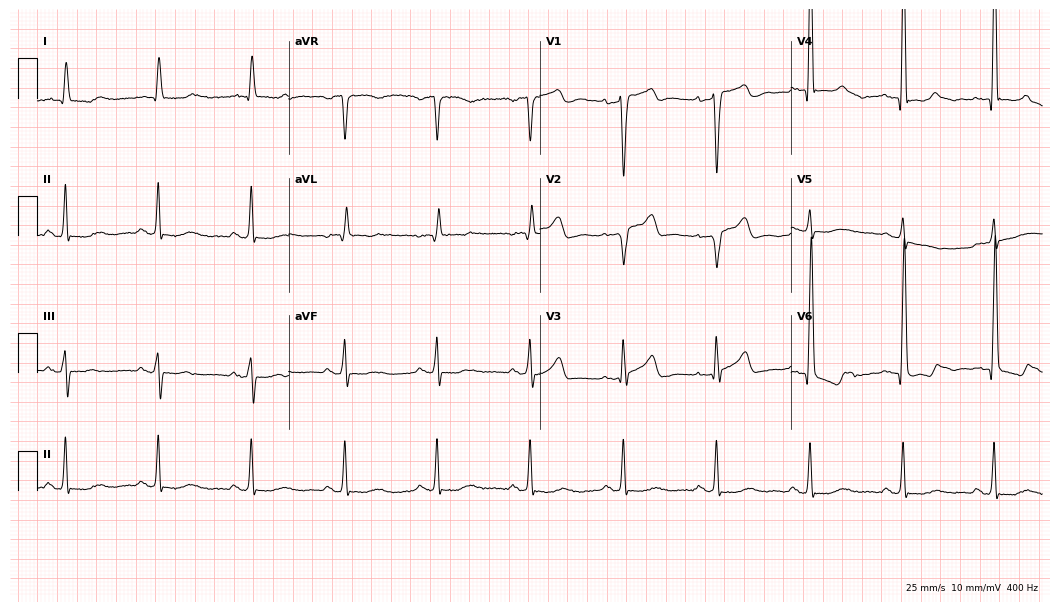
12-lead ECG from a 73-year-old male (10.2-second recording at 400 Hz). No first-degree AV block, right bundle branch block (RBBB), left bundle branch block (LBBB), sinus bradycardia, atrial fibrillation (AF) or sinus tachycardia recorded for this tracing.